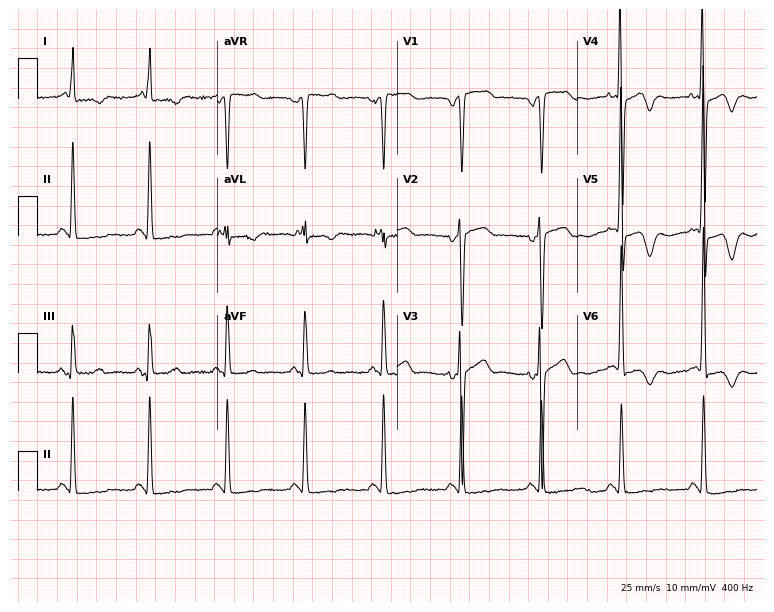
Resting 12-lead electrocardiogram. Patient: a 74-year-old female. None of these six findings is recorded: first-degree AV block, right bundle branch block (RBBB), left bundle branch block (LBBB), sinus bradycardia, atrial fibrillation (AF), sinus tachycardia.